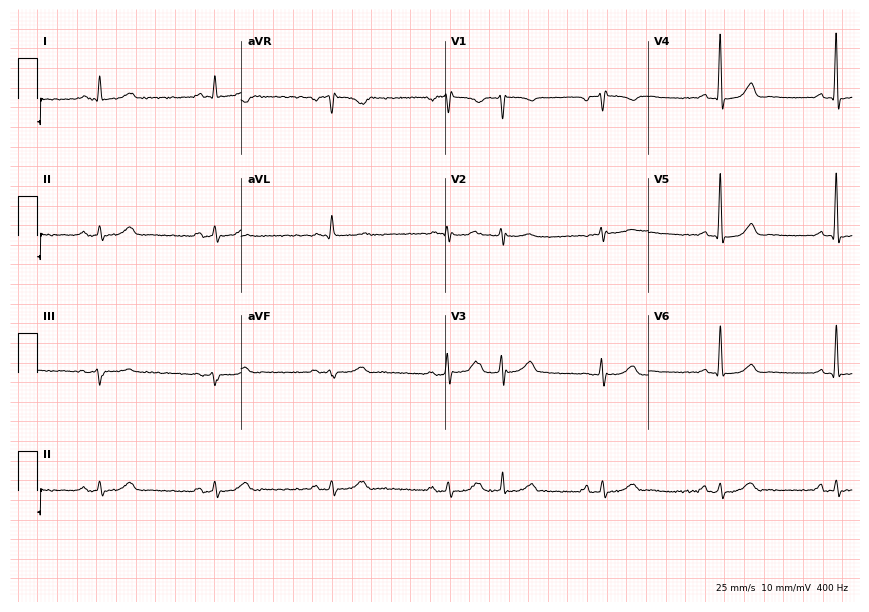
12-lead ECG from a 79-year-old man. Recorded interpretation: within normal limits.